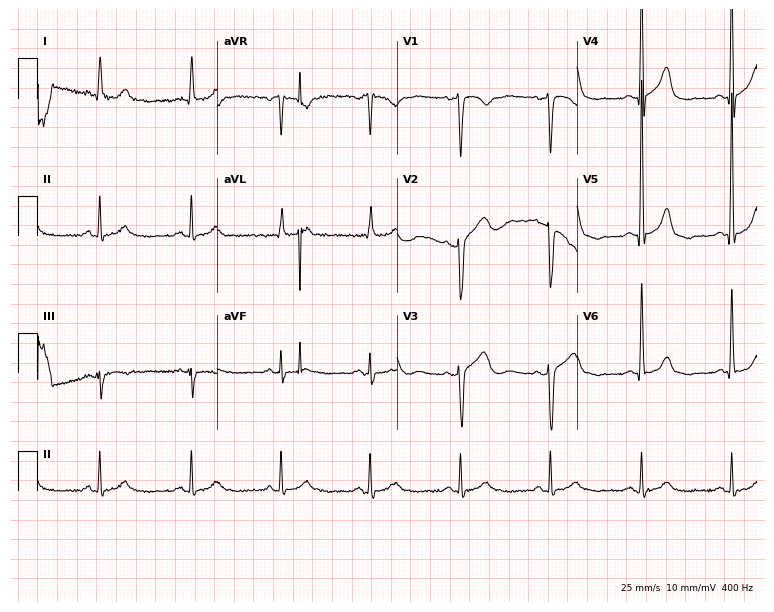
ECG — a 67-year-old man. Screened for six findings — first-degree AV block, right bundle branch block (RBBB), left bundle branch block (LBBB), sinus bradycardia, atrial fibrillation (AF), sinus tachycardia — none is recorded. Only these six findings were labelled.